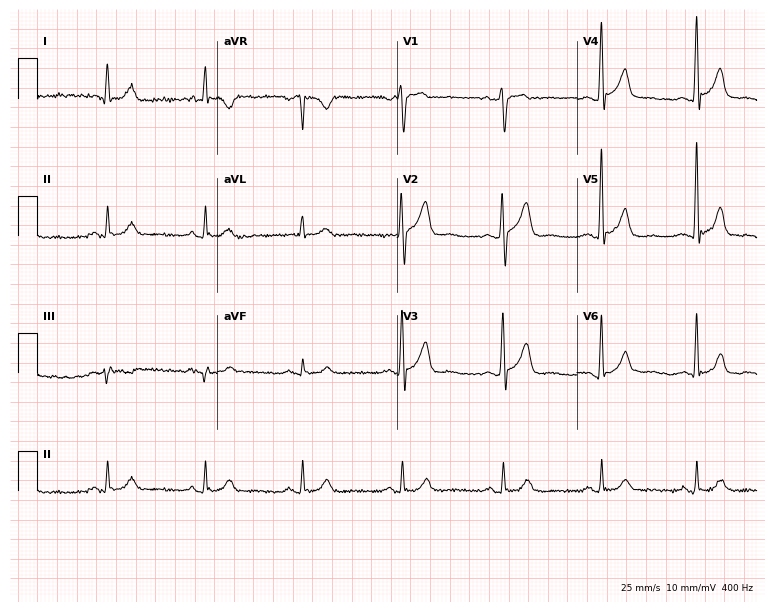
12-lead ECG from a male, 60 years old (7.3-second recording at 400 Hz). No first-degree AV block, right bundle branch block (RBBB), left bundle branch block (LBBB), sinus bradycardia, atrial fibrillation (AF) or sinus tachycardia recorded for this tracing.